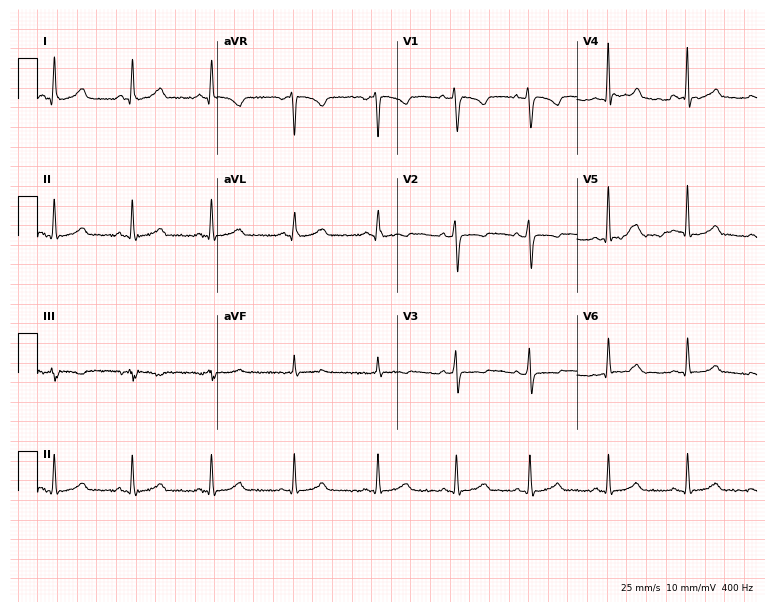
12-lead ECG from a female patient, 28 years old (7.3-second recording at 400 Hz). Recorded interpretation: within normal limits.